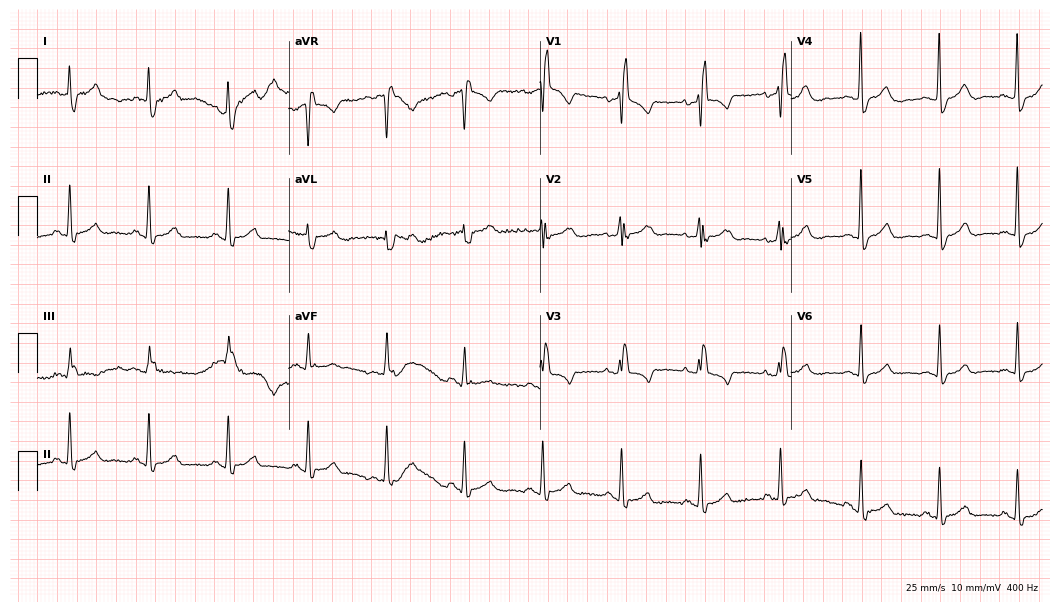
12-lead ECG (10.2-second recording at 400 Hz) from a 78-year-old female. Findings include right bundle branch block.